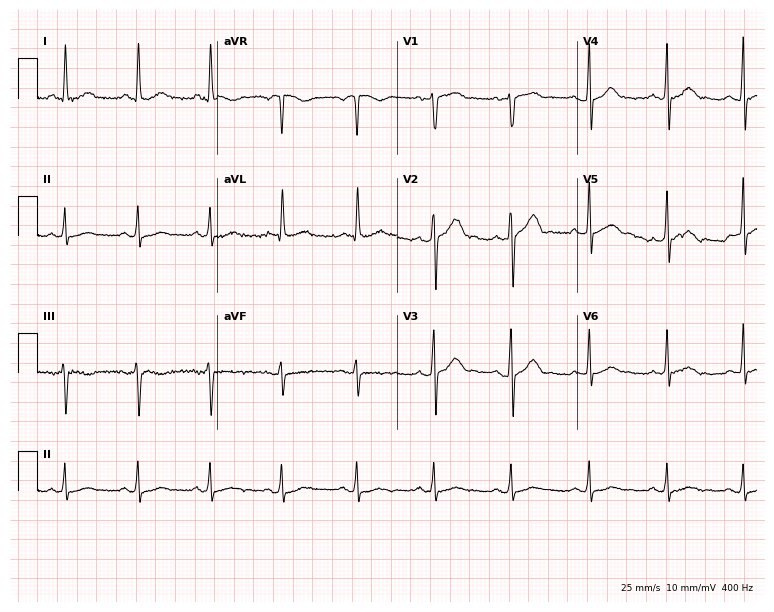
Standard 12-lead ECG recorded from a 32-year-old male. Read as a normal ECG.